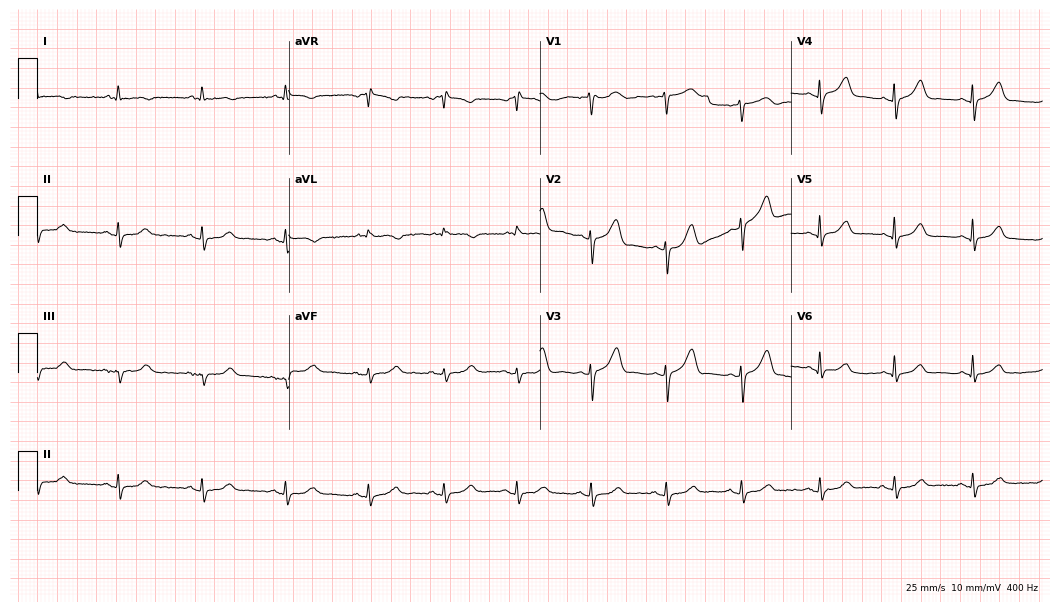
12-lead ECG from a female, 45 years old. Screened for six findings — first-degree AV block, right bundle branch block, left bundle branch block, sinus bradycardia, atrial fibrillation, sinus tachycardia — none is recorded. Findings outside these six are not listed.